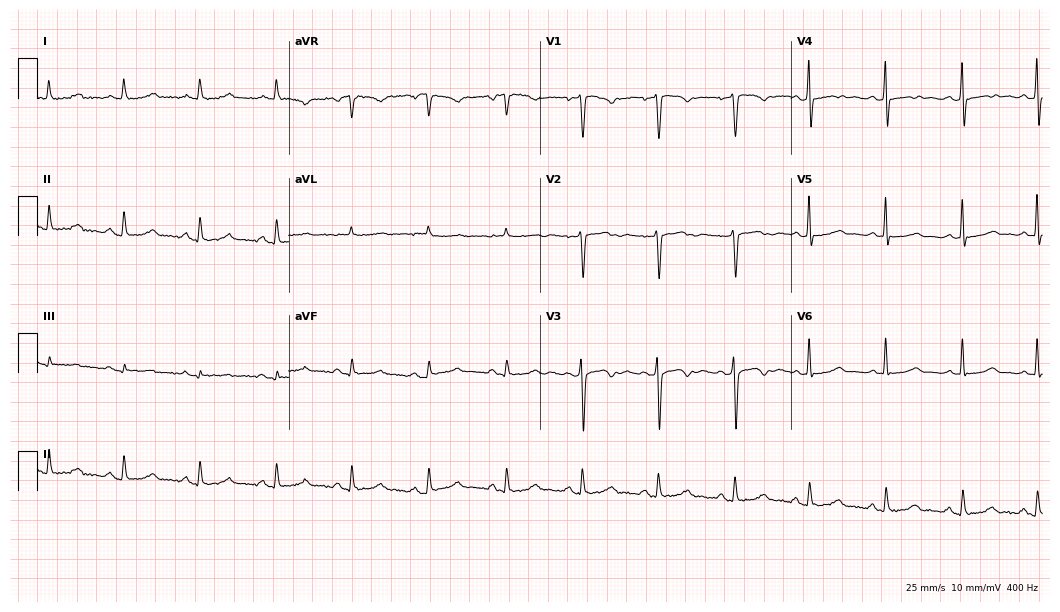
ECG — a woman, 47 years old. Screened for six findings — first-degree AV block, right bundle branch block (RBBB), left bundle branch block (LBBB), sinus bradycardia, atrial fibrillation (AF), sinus tachycardia — none is recorded. Findings outside these six are not listed.